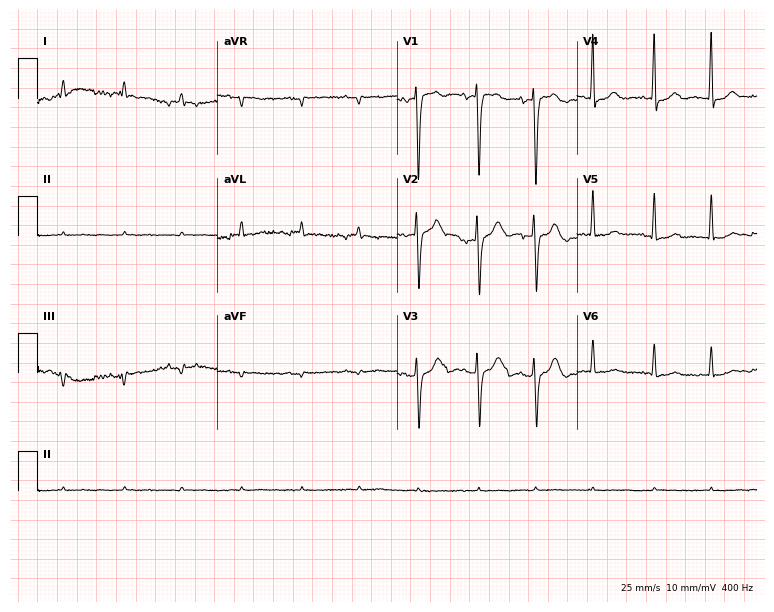
Standard 12-lead ECG recorded from a female patient, 62 years old. None of these six findings is recorded: first-degree AV block, right bundle branch block, left bundle branch block, sinus bradycardia, atrial fibrillation, sinus tachycardia. Findings outside these six are not listed.